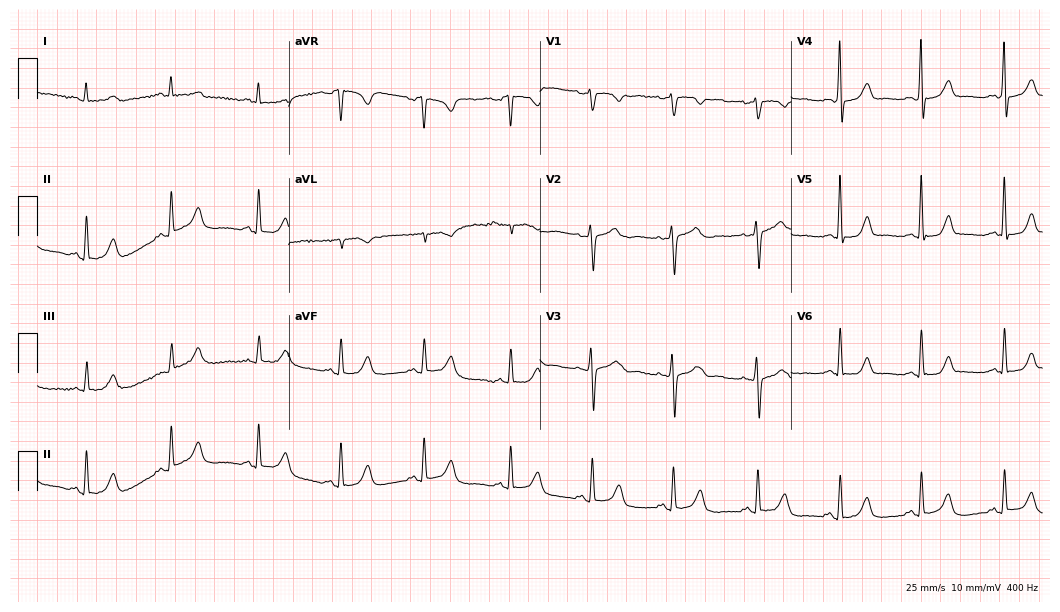
Resting 12-lead electrocardiogram. Patient: a 58-year-old woman. Read as a normal ECG.